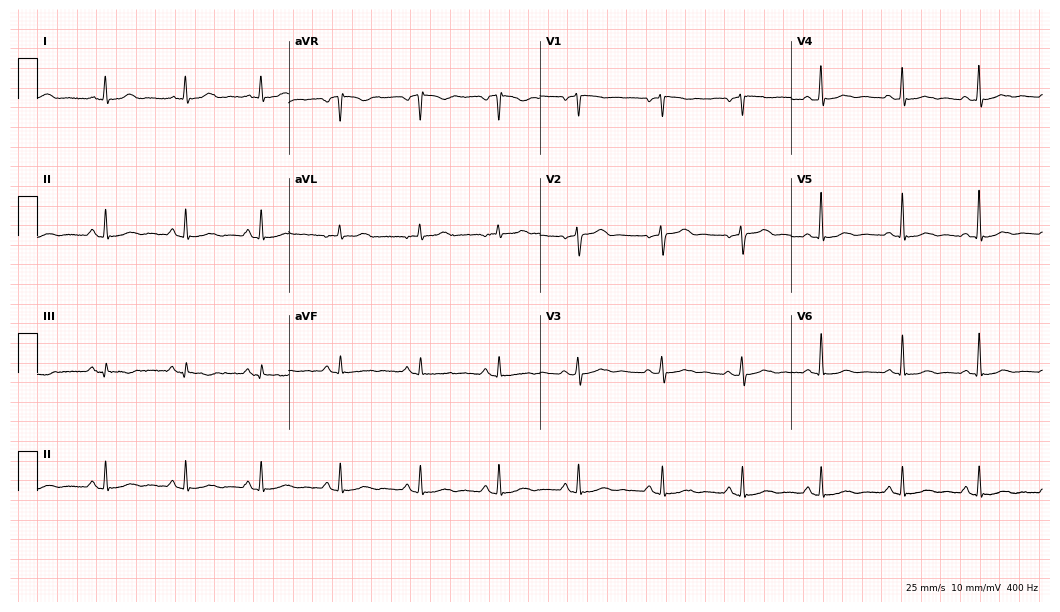
Standard 12-lead ECG recorded from a 37-year-old female patient (10.2-second recording at 400 Hz). None of these six findings is recorded: first-degree AV block, right bundle branch block, left bundle branch block, sinus bradycardia, atrial fibrillation, sinus tachycardia.